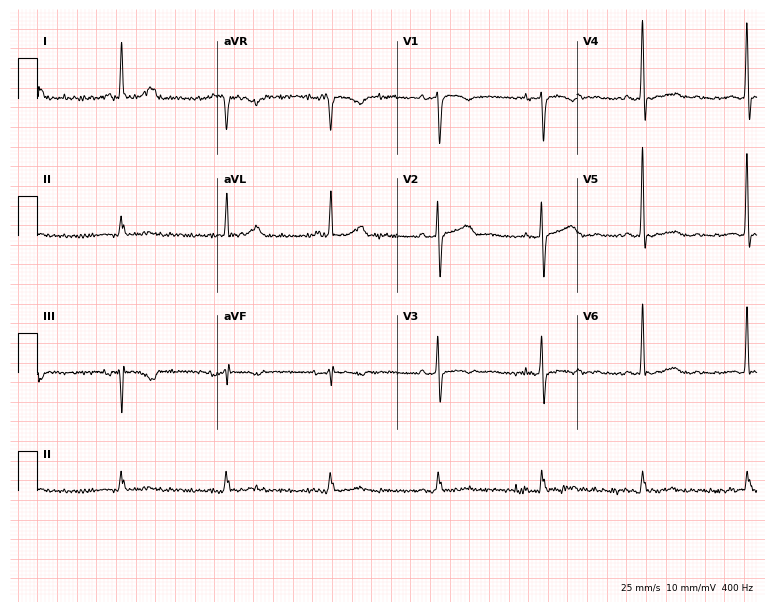
Electrocardiogram (7.3-second recording at 400 Hz), a 67-year-old woman. Of the six screened findings (first-degree AV block, right bundle branch block (RBBB), left bundle branch block (LBBB), sinus bradycardia, atrial fibrillation (AF), sinus tachycardia), none is recorded.